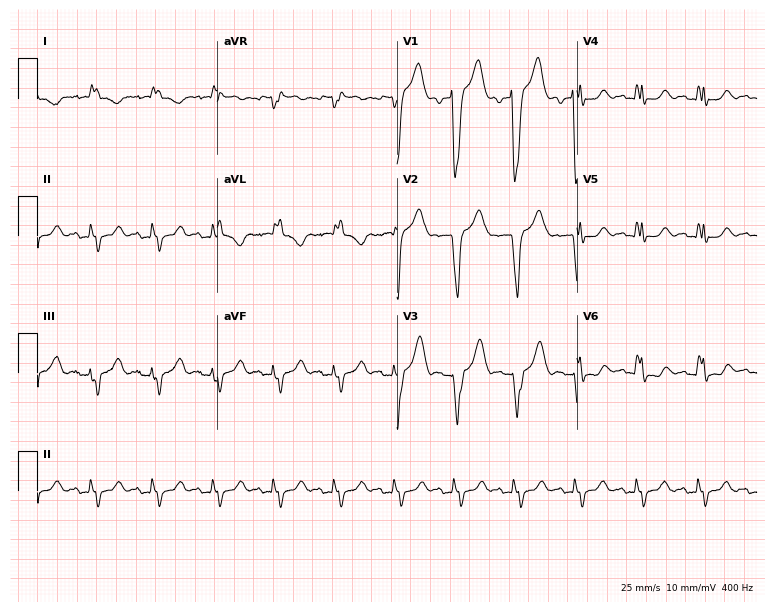
ECG — an 82-year-old female patient. Findings include left bundle branch block (LBBB).